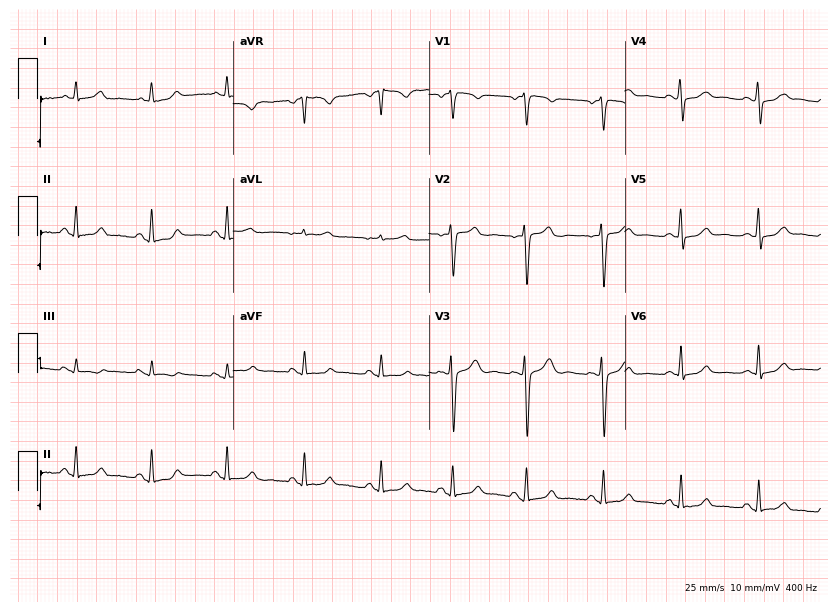
Electrocardiogram, a female patient, 44 years old. Overall reading on record: normal ECG.